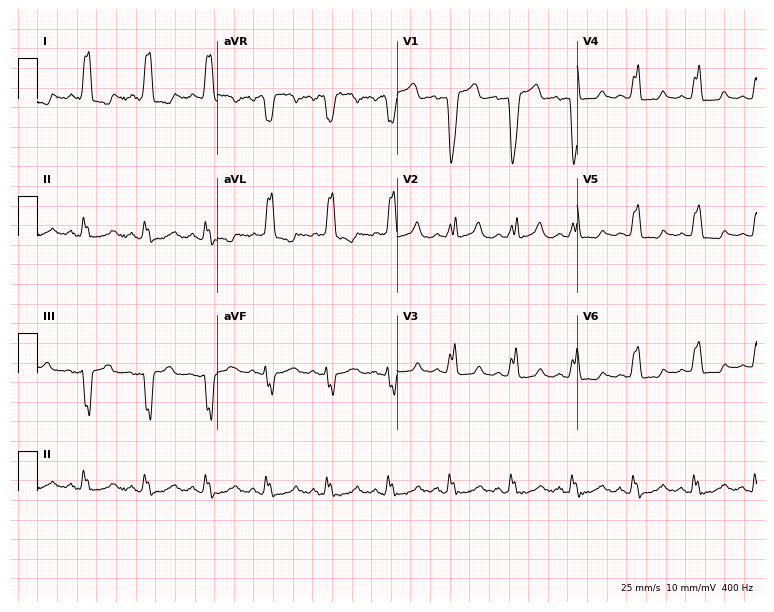
12-lead ECG from a 75-year-old woman. Findings include left bundle branch block.